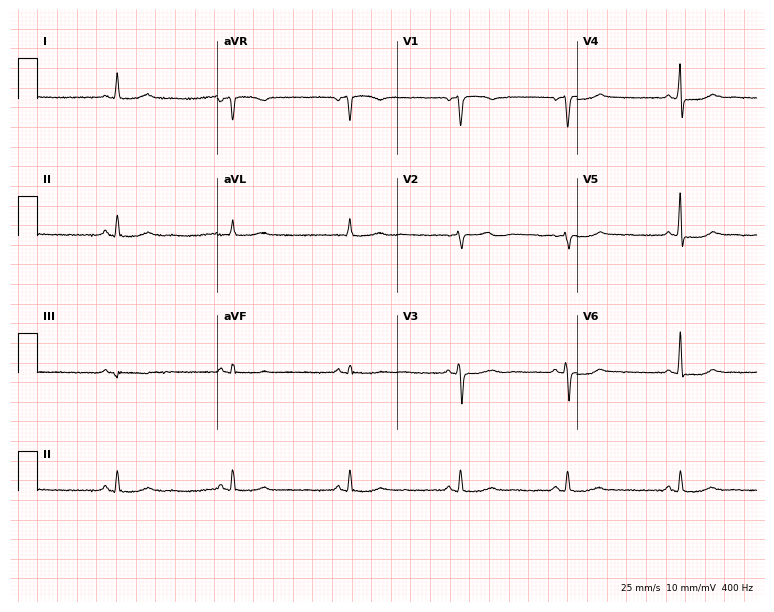
12-lead ECG from a female patient, 68 years old (7.3-second recording at 400 Hz). No first-degree AV block, right bundle branch block, left bundle branch block, sinus bradycardia, atrial fibrillation or sinus tachycardia recorded for this tracing. Only these six findings were labelled.